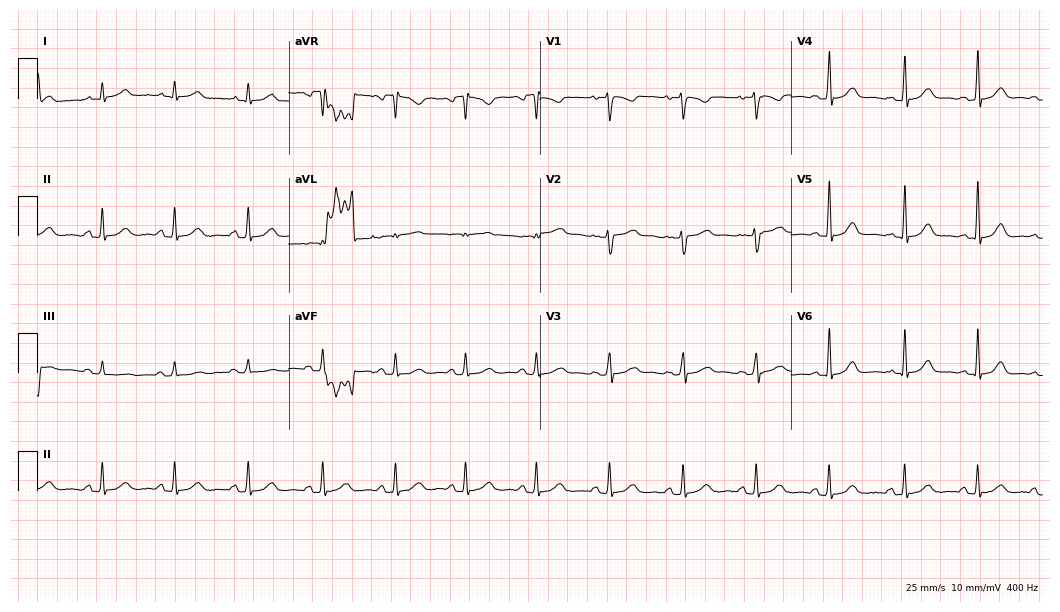
Resting 12-lead electrocardiogram. Patient: a female, 47 years old. None of these six findings is recorded: first-degree AV block, right bundle branch block, left bundle branch block, sinus bradycardia, atrial fibrillation, sinus tachycardia.